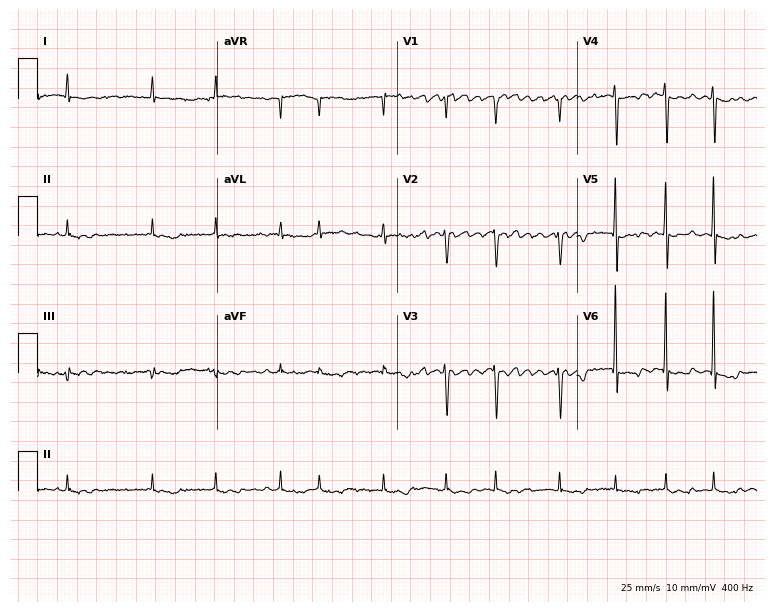
ECG — a female patient, 74 years old. Findings include atrial fibrillation.